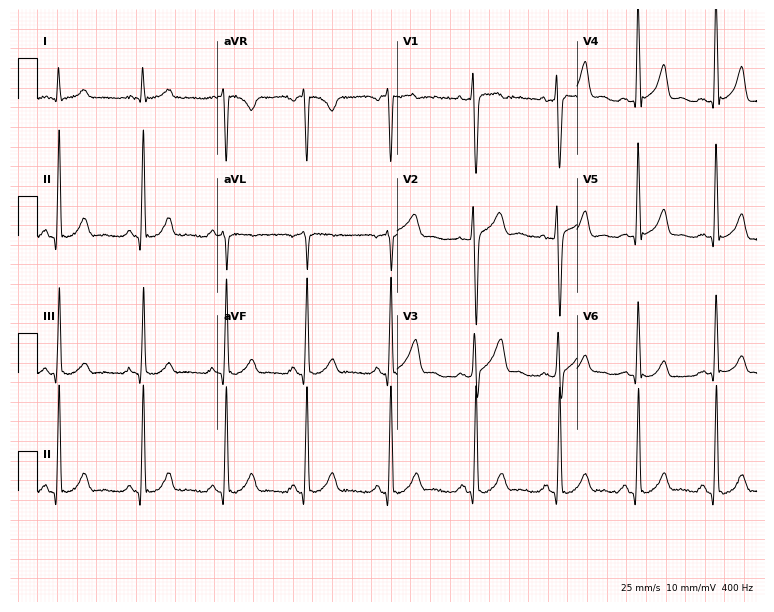
Standard 12-lead ECG recorded from a 38-year-old man (7.3-second recording at 400 Hz). Read as a normal ECG.